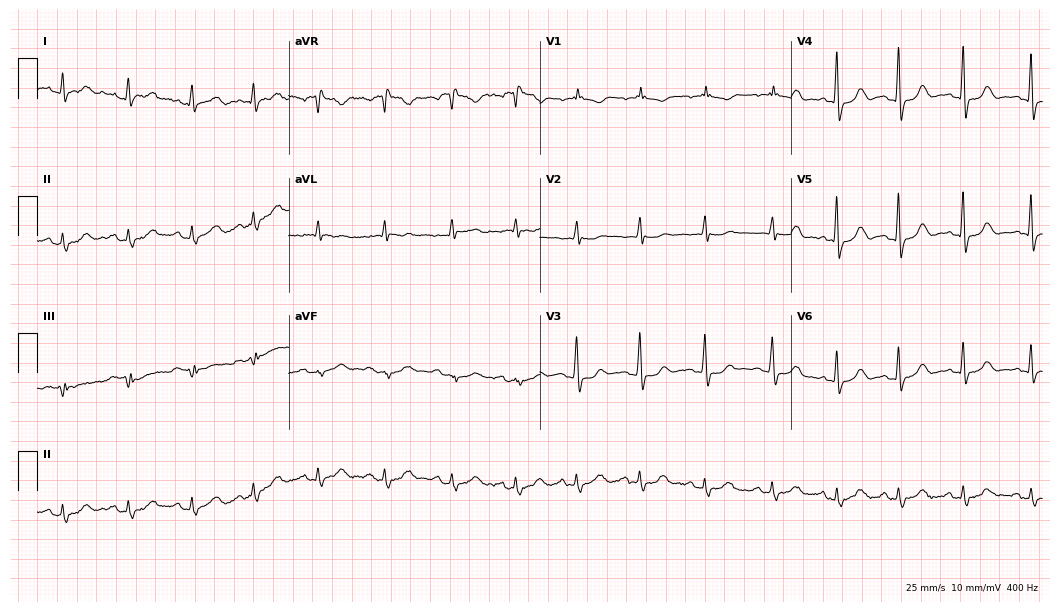
Standard 12-lead ECG recorded from a 71-year-old female (10.2-second recording at 400 Hz). None of these six findings is recorded: first-degree AV block, right bundle branch block (RBBB), left bundle branch block (LBBB), sinus bradycardia, atrial fibrillation (AF), sinus tachycardia. Other findings, if any, are not listed.